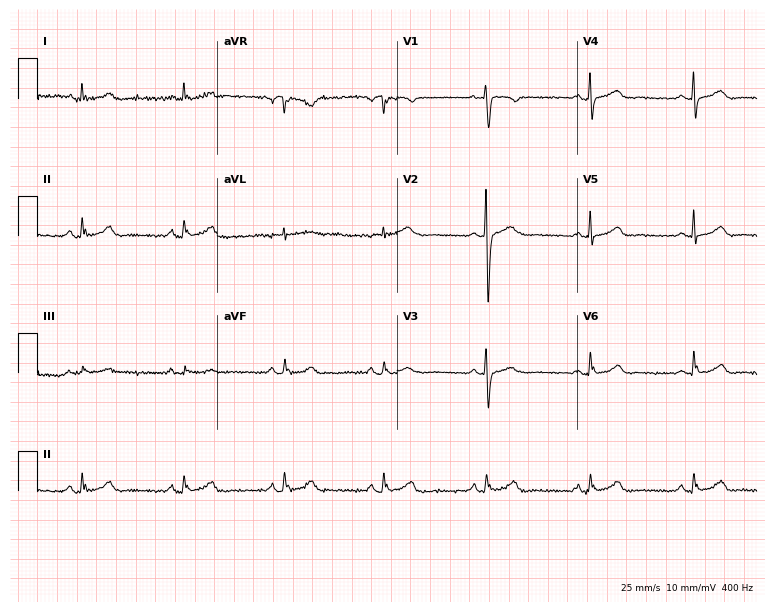
12-lead ECG from a 53-year-old female patient (7.3-second recording at 400 Hz). No first-degree AV block, right bundle branch block, left bundle branch block, sinus bradycardia, atrial fibrillation or sinus tachycardia recorded for this tracing.